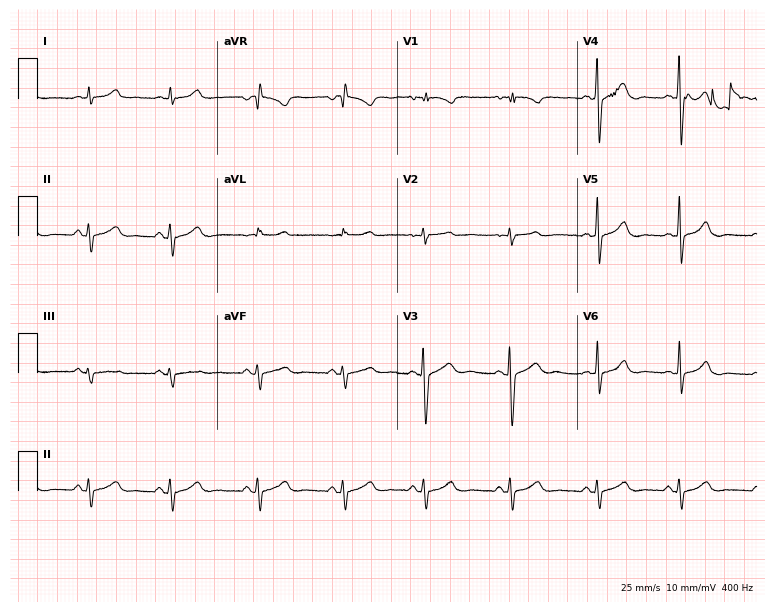
ECG — a woman, 32 years old. Labelled as a normal ECG.